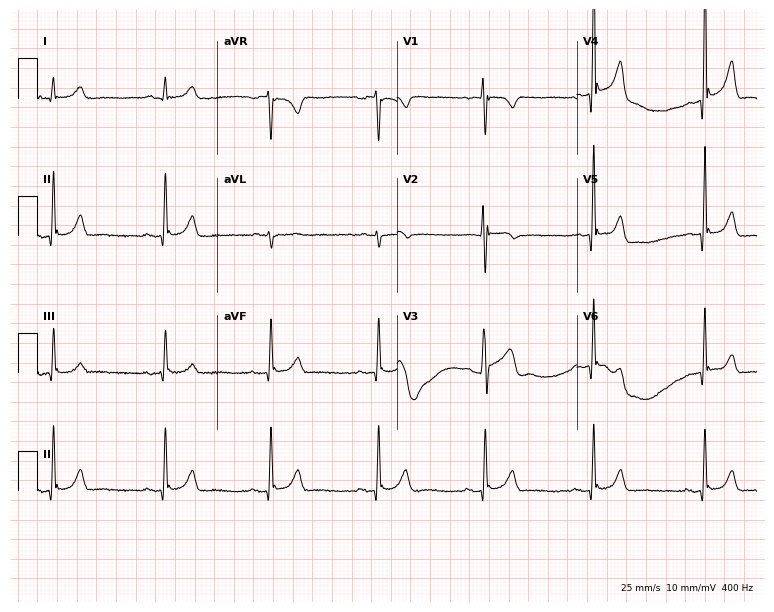
Standard 12-lead ECG recorded from a 23-year-old man (7.3-second recording at 400 Hz). None of these six findings is recorded: first-degree AV block, right bundle branch block (RBBB), left bundle branch block (LBBB), sinus bradycardia, atrial fibrillation (AF), sinus tachycardia. Only these six findings were labelled.